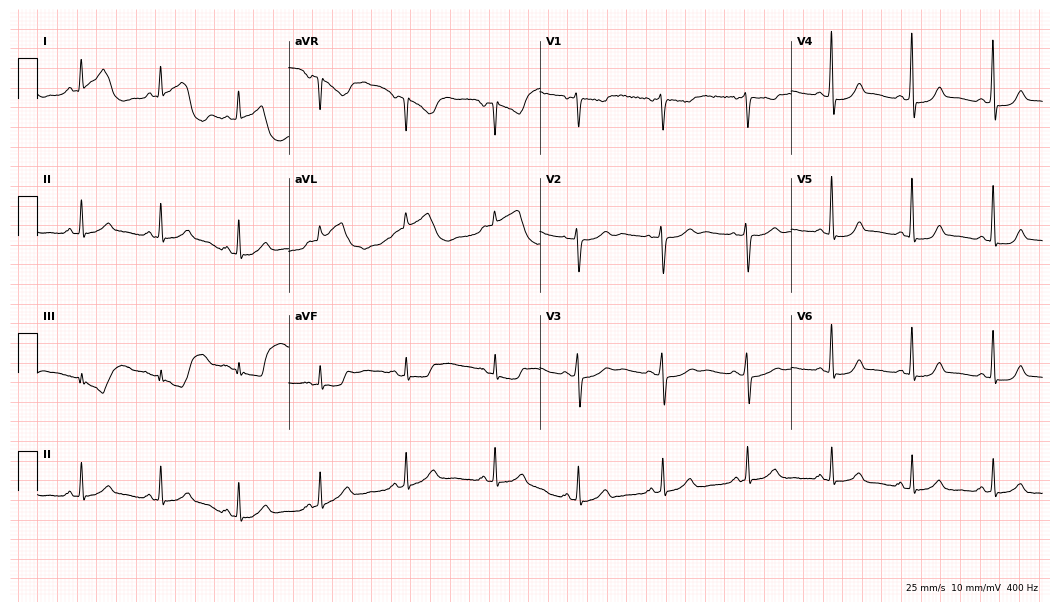
Standard 12-lead ECG recorded from a 54-year-old female patient (10.2-second recording at 400 Hz). None of these six findings is recorded: first-degree AV block, right bundle branch block (RBBB), left bundle branch block (LBBB), sinus bradycardia, atrial fibrillation (AF), sinus tachycardia. Other findings, if any, are not listed.